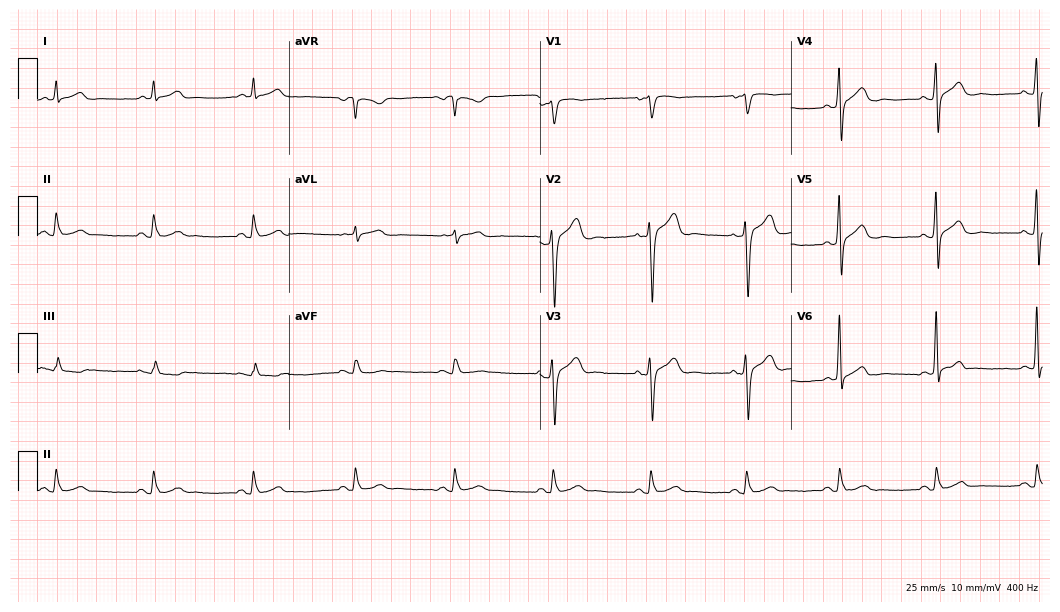
12-lead ECG from a 53-year-old man. Recorded interpretation: within normal limits.